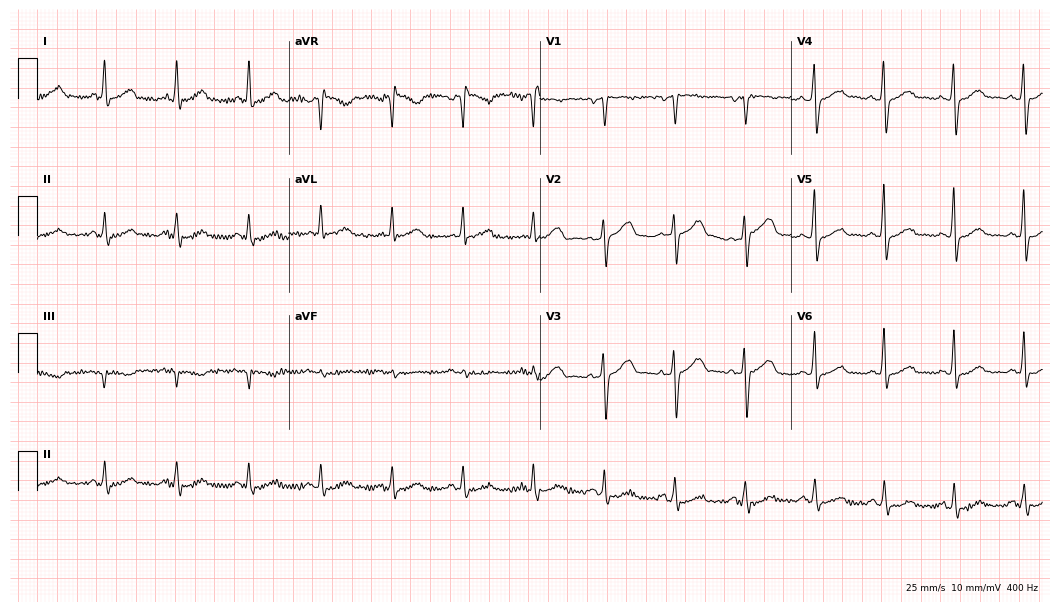
12-lead ECG from a female patient, 59 years old (10.2-second recording at 400 Hz). Recorded interpretation: within normal limits.